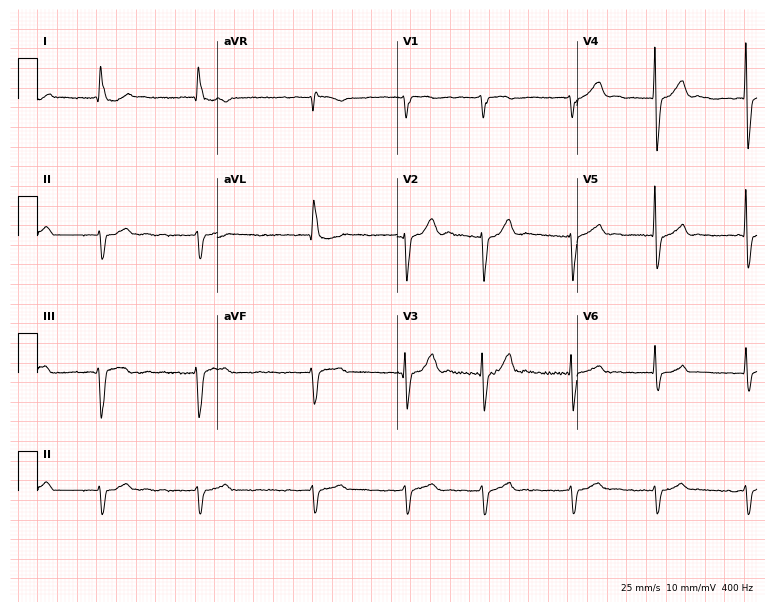
12-lead ECG (7.3-second recording at 400 Hz) from a 78-year-old man. Screened for six findings — first-degree AV block, right bundle branch block (RBBB), left bundle branch block (LBBB), sinus bradycardia, atrial fibrillation (AF), sinus tachycardia — none is recorded. Findings outside these six are not listed.